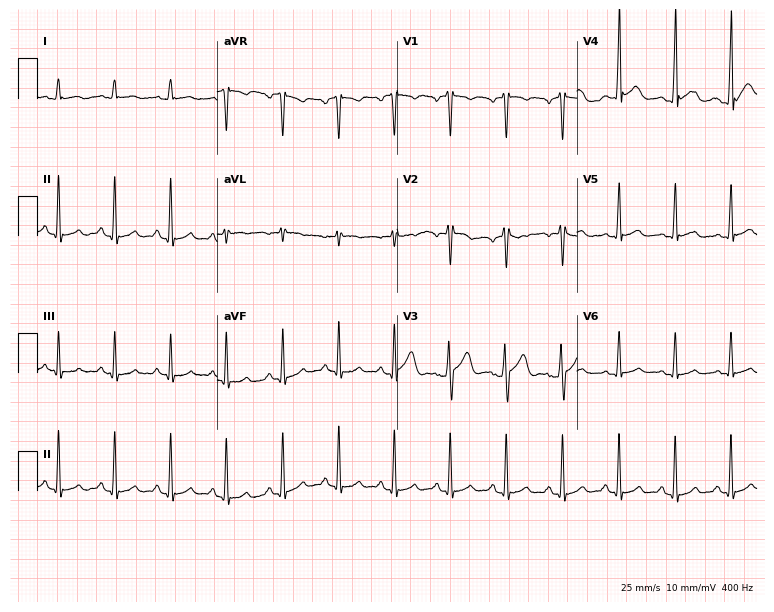
12-lead ECG from a male patient, 26 years old (7.3-second recording at 400 Hz). Shows sinus tachycardia (a sinus rate of 100 beats per minute or more).